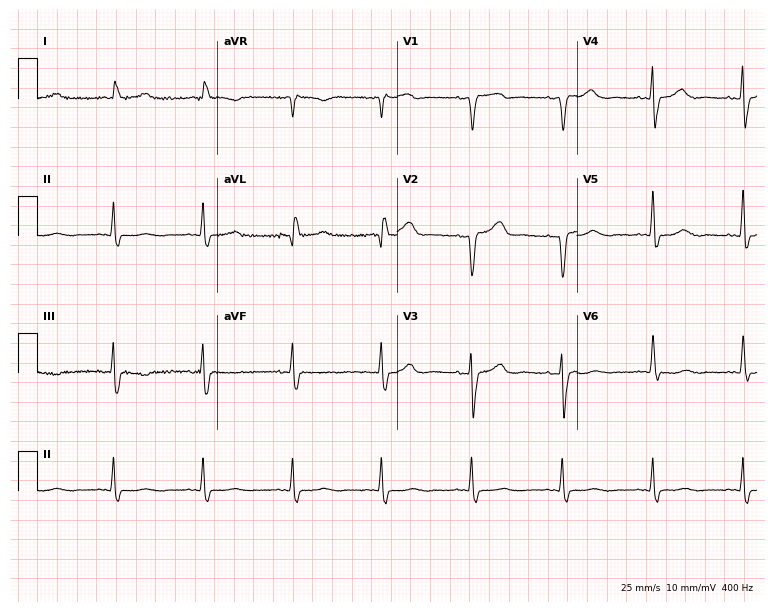
ECG — an 84-year-old female patient. Screened for six findings — first-degree AV block, right bundle branch block (RBBB), left bundle branch block (LBBB), sinus bradycardia, atrial fibrillation (AF), sinus tachycardia — none is recorded. Only these six findings were labelled.